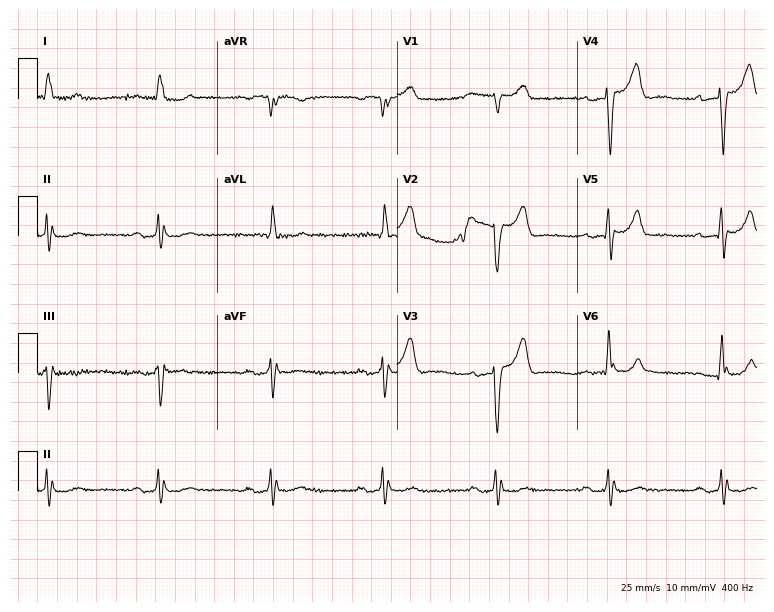
Standard 12-lead ECG recorded from a 71-year-old male patient. None of these six findings is recorded: first-degree AV block, right bundle branch block, left bundle branch block, sinus bradycardia, atrial fibrillation, sinus tachycardia.